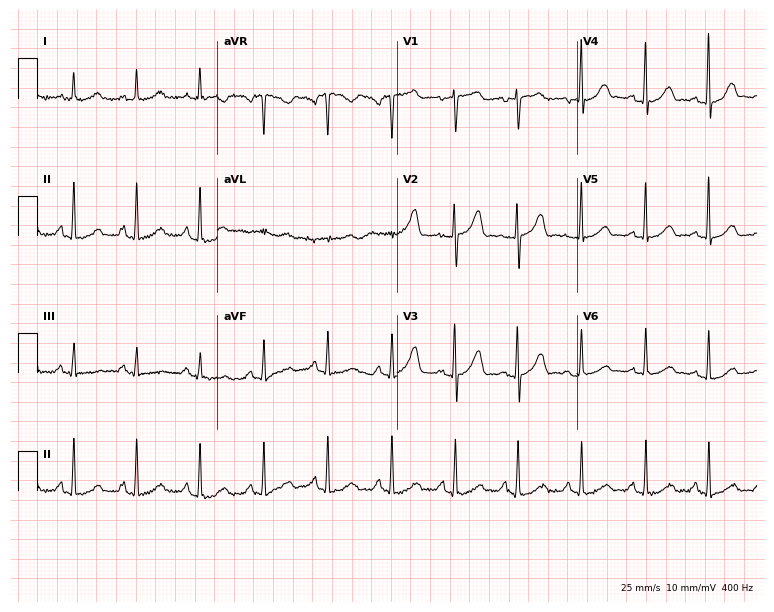
12-lead ECG (7.3-second recording at 400 Hz) from a 58-year-old female. Labelled as a normal ECG.